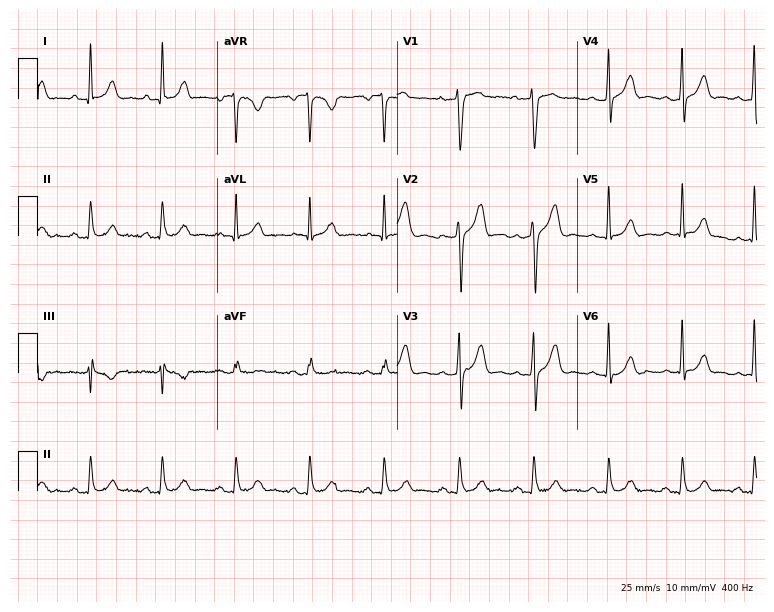
ECG — a female patient, 40 years old. Screened for six findings — first-degree AV block, right bundle branch block, left bundle branch block, sinus bradycardia, atrial fibrillation, sinus tachycardia — none is recorded. Only these six findings were labelled.